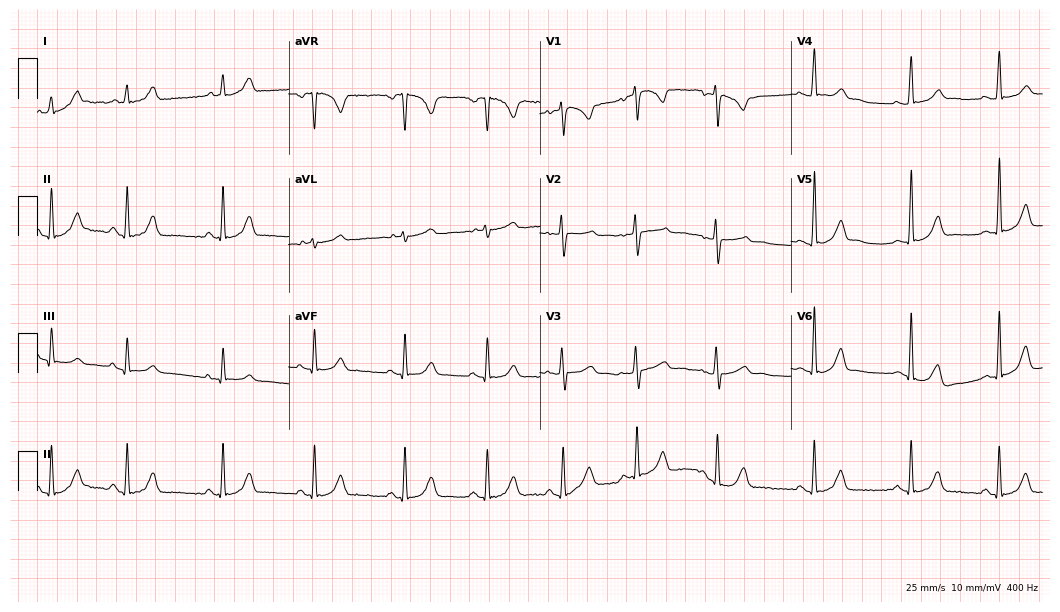
Electrocardiogram (10.2-second recording at 400 Hz), a 25-year-old female. Overall reading on record: normal ECG.